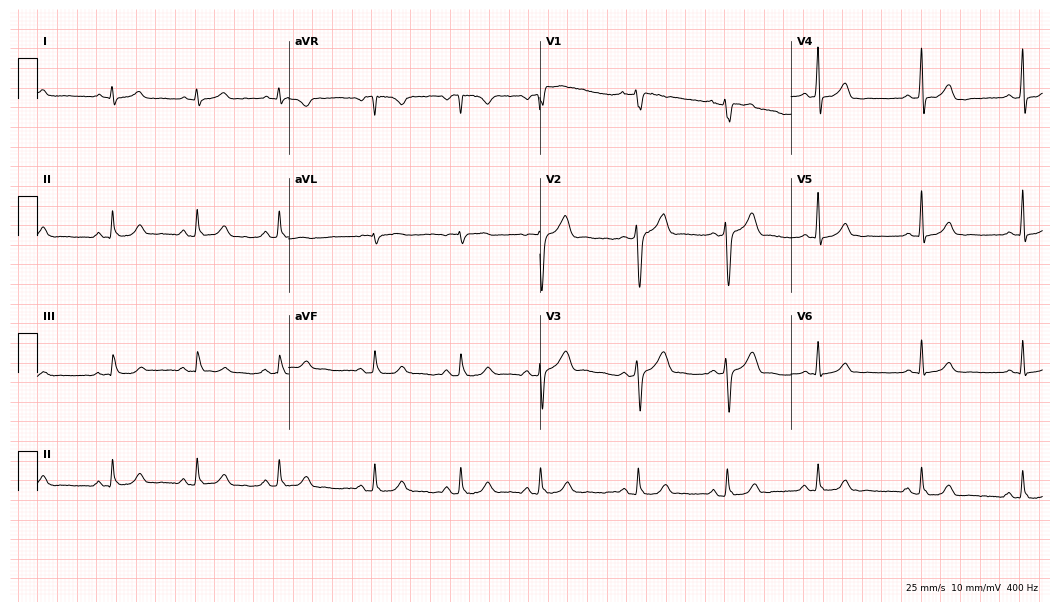
Standard 12-lead ECG recorded from a male, 34 years old (10.2-second recording at 400 Hz). Read as a normal ECG.